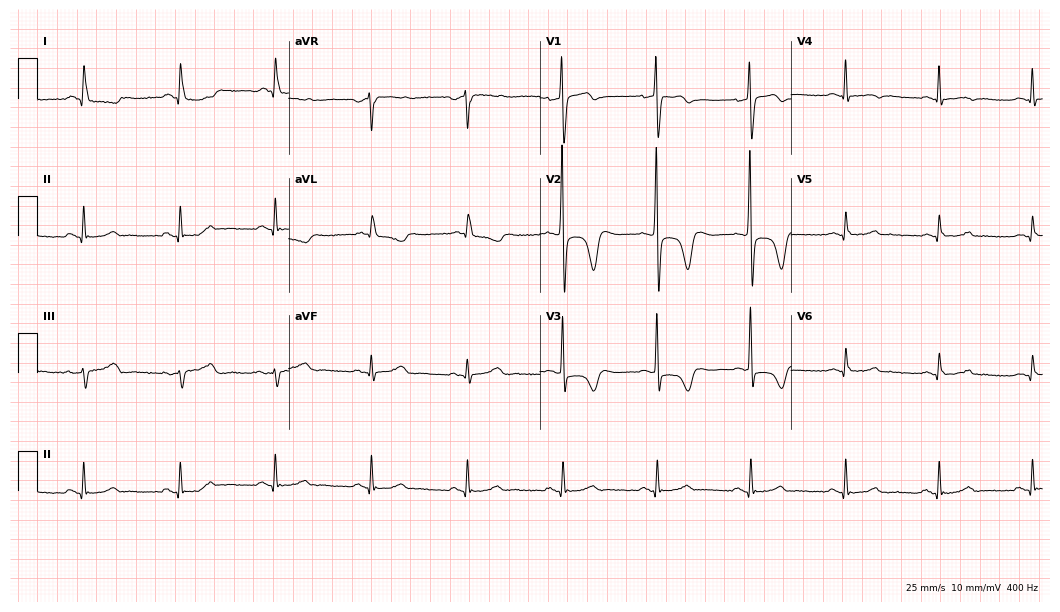
12-lead ECG from a woman, 69 years old. Screened for six findings — first-degree AV block, right bundle branch block, left bundle branch block, sinus bradycardia, atrial fibrillation, sinus tachycardia — none is recorded. Only these six findings were labelled.